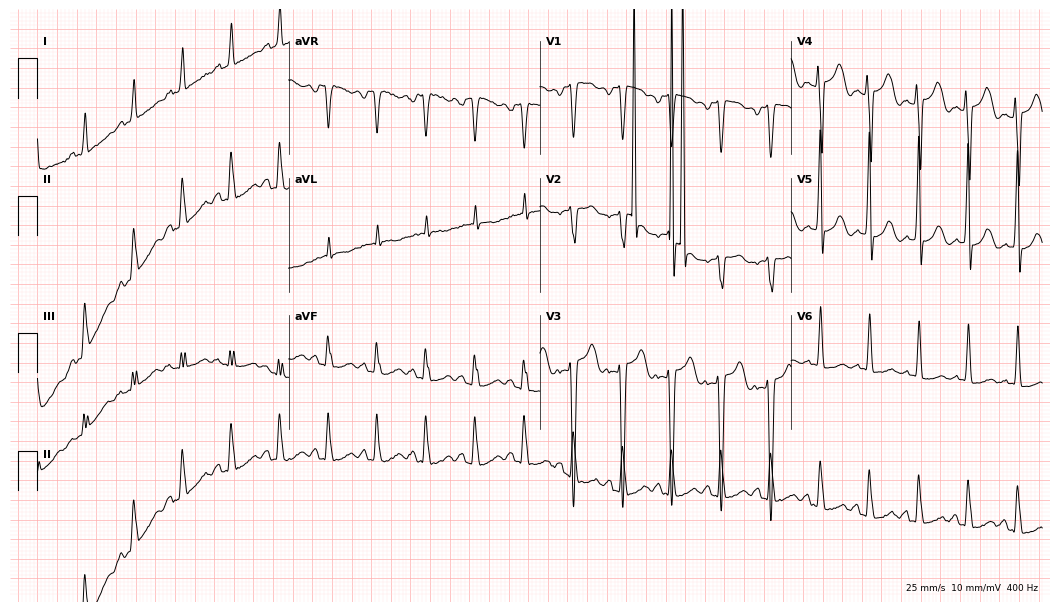
Electrocardiogram (10.2-second recording at 400 Hz), a 29-year-old woman. Interpretation includes sinus tachycardia (a sinus rate of 100 beats per minute or more).